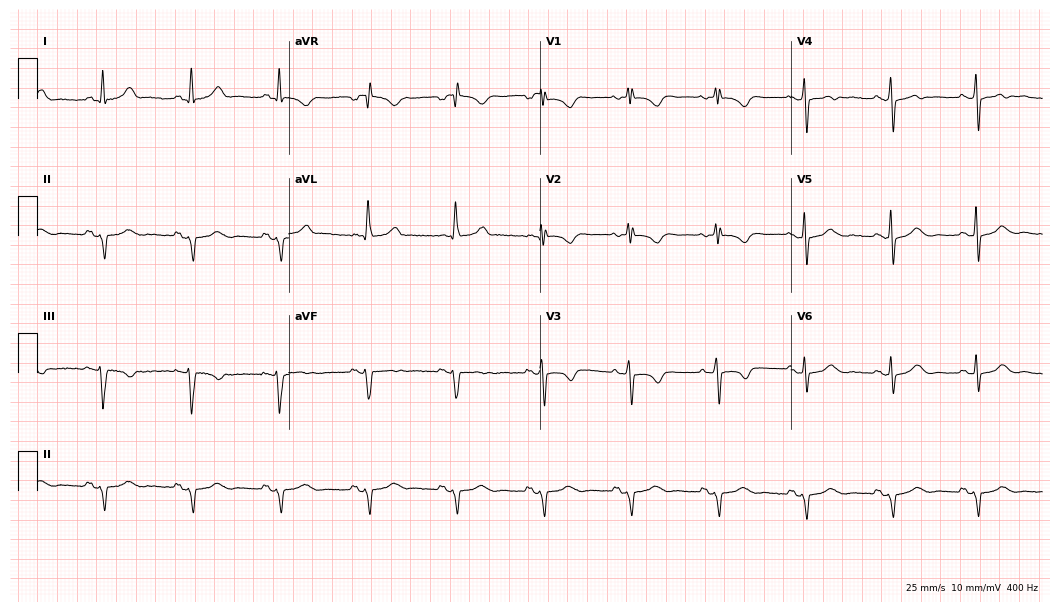
12-lead ECG from a woman, 65 years old. No first-degree AV block, right bundle branch block (RBBB), left bundle branch block (LBBB), sinus bradycardia, atrial fibrillation (AF) or sinus tachycardia recorded for this tracing. Findings outside these six are not listed.